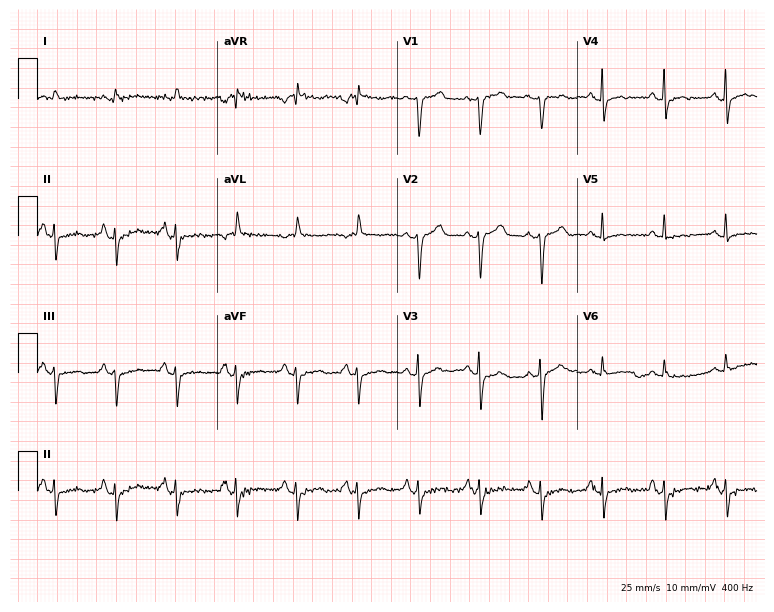
Resting 12-lead electrocardiogram (7.3-second recording at 400 Hz). Patient: a woman, 68 years old. None of these six findings is recorded: first-degree AV block, right bundle branch block, left bundle branch block, sinus bradycardia, atrial fibrillation, sinus tachycardia.